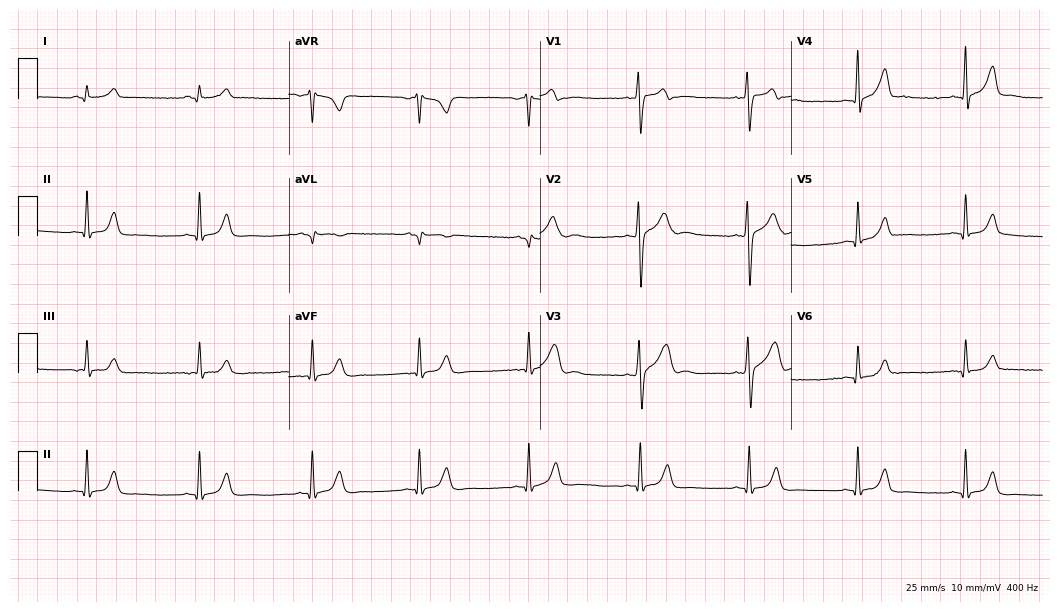
12-lead ECG from a male, 31 years old. Recorded interpretation: within normal limits.